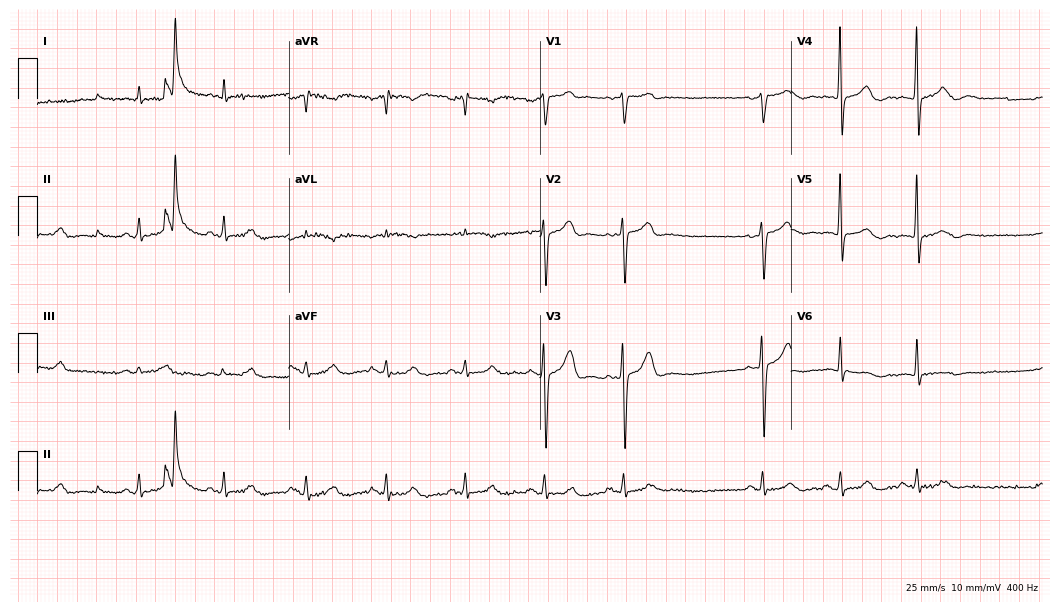
Resting 12-lead electrocardiogram (10.2-second recording at 400 Hz). Patient: a man, 74 years old. None of these six findings is recorded: first-degree AV block, right bundle branch block, left bundle branch block, sinus bradycardia, atrial fibrillation, sinus tachycardia. Only these six findings were labelled.